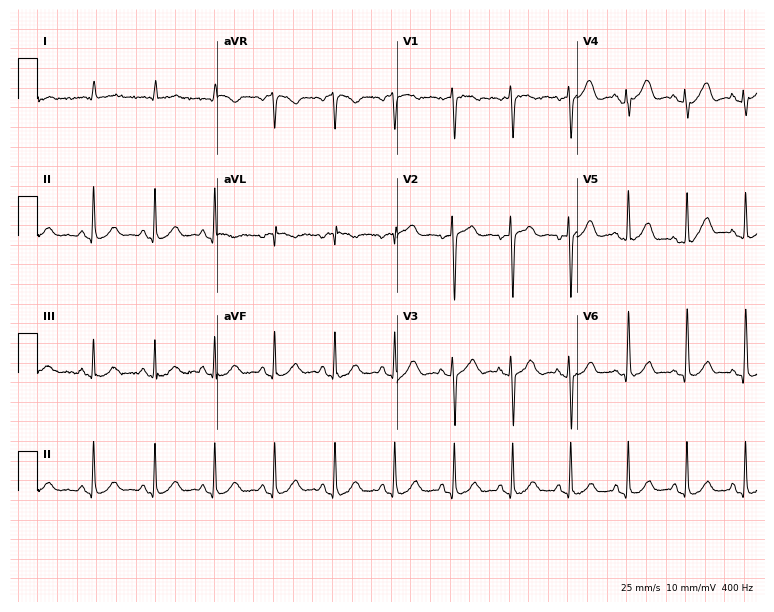
12-lead ECG from a 64-year-old female. Labelled as a normal ECG.